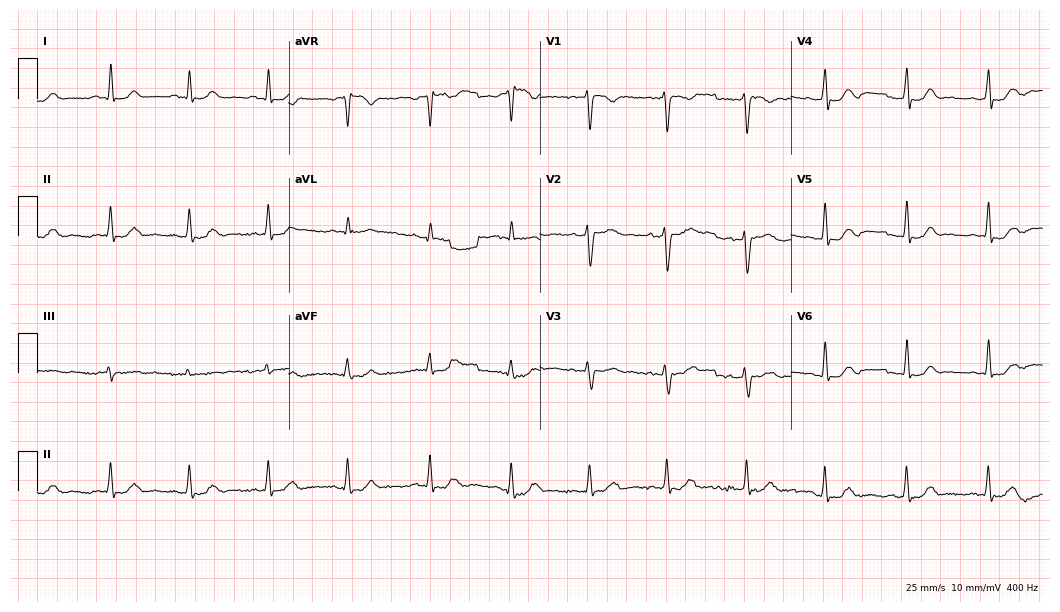
ECG — a woman, 38 years old. Labelled as a normal ECG.